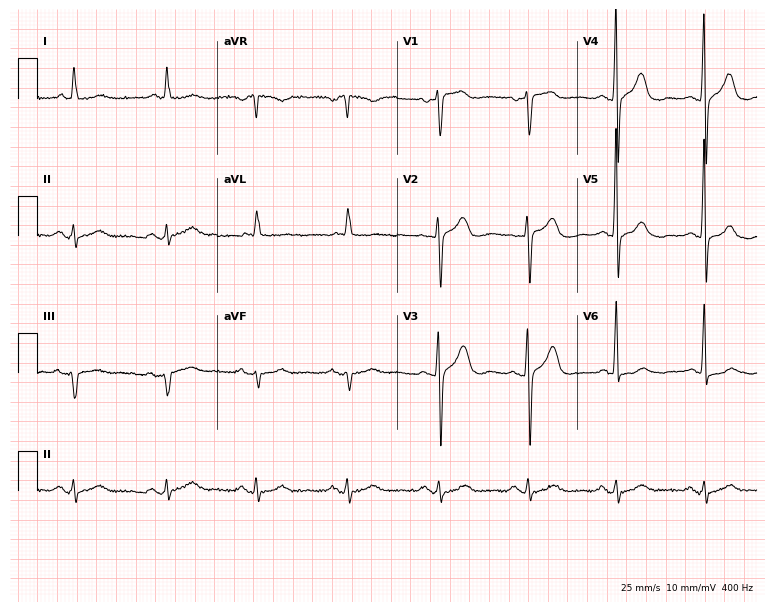
Resting 12-lead electrocardiogram (7.3-second recording at 400 Hz). Patient: a female, 75 years old. None of these six findings is recorded: first-degree AV block, right bundle branch block, left bundle branch block, sinus bradycardia, atrial fibrillation, sinus tachycardia. Findings outside these six are not listed.